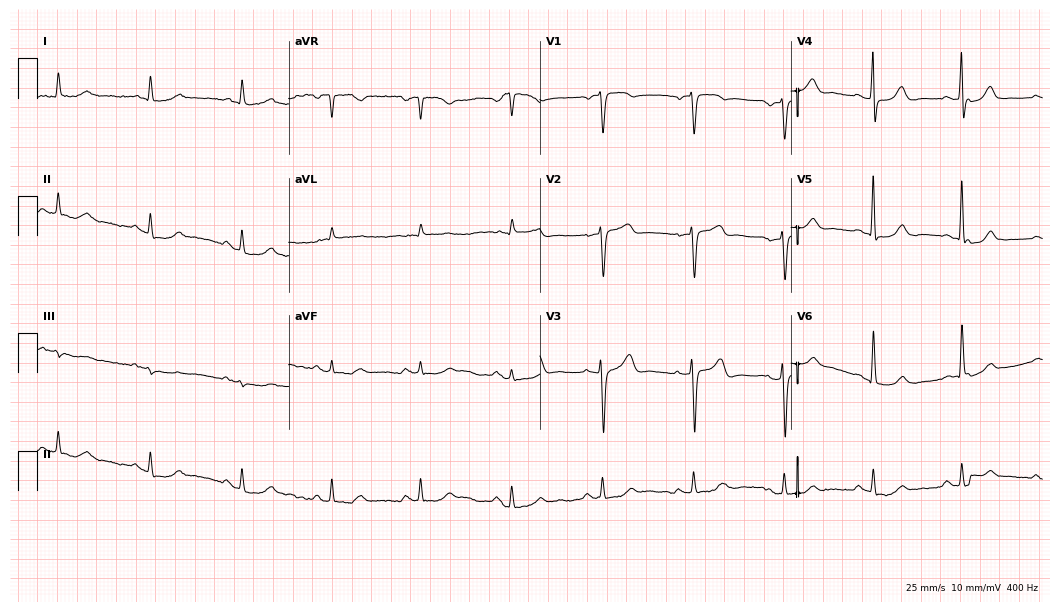
Resting 12-lead electrocardiogram (10.2-second recording at 400 Hz). Patient: a 77-year-old man. Read as a normal ECG.